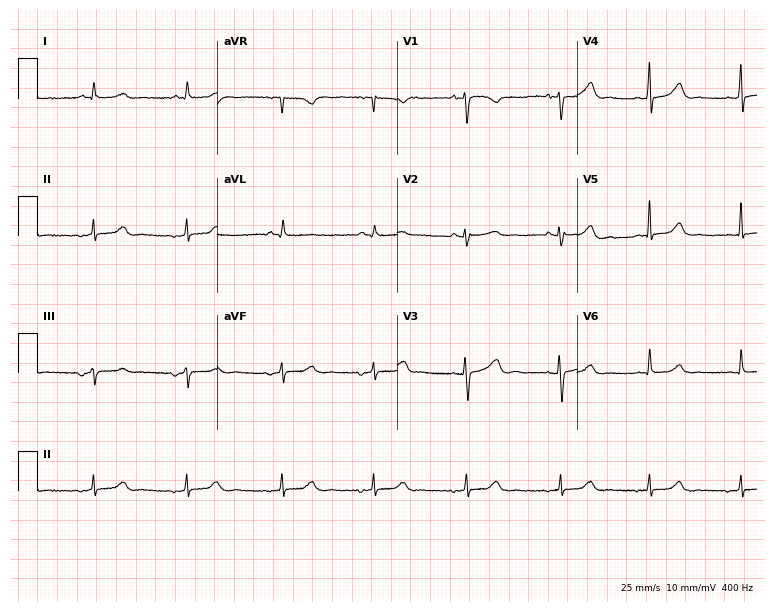
Electrocardiogram, a female patient, 62 years old. Of the six screened findings (first-degree AV block, right bundle branch block, left bundle branch block, sinus bradycardia, atrial fibrillation, sinus tachycardia), none is recorded.